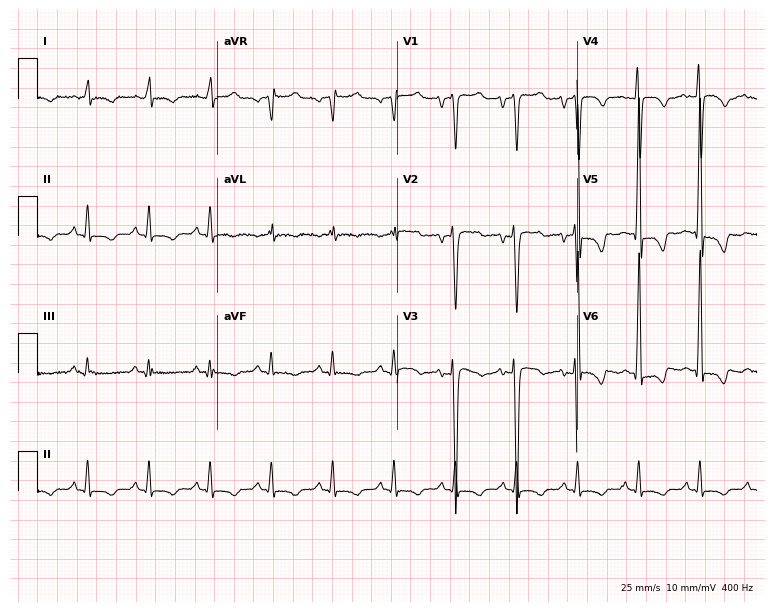
Standard 12-lead ECG recorded from a 53-year-old male patient (7.3-second recording at 400 Hz). None of these six findings is recorded: first-degree AV block, right bundle branch block (RBBB), left bundle branch block (LBBB), sinus bradycardia, atrial fibrillation (AF), sinus tachycardia. Findings outside these six are not listed.